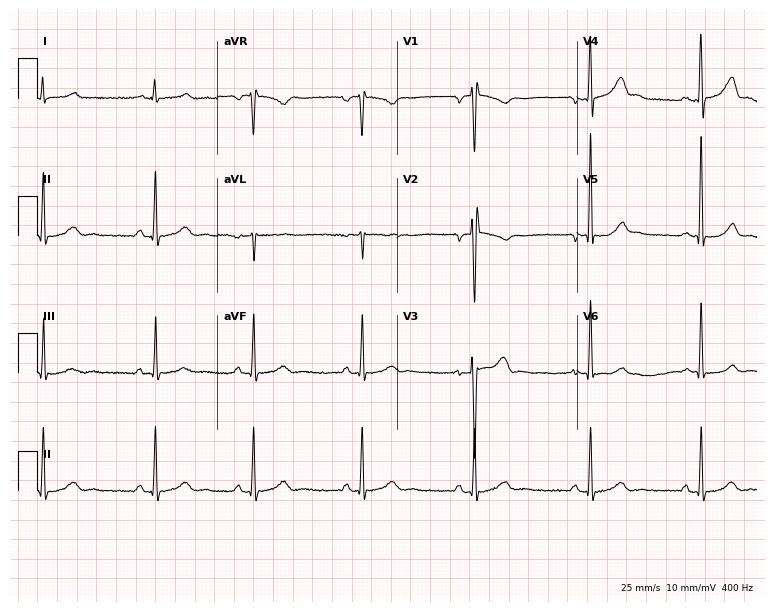
Electrocardiogram (7.3-second recording at 400 Hz), a 20-year-old man. Overall reading on record: normal ECG.